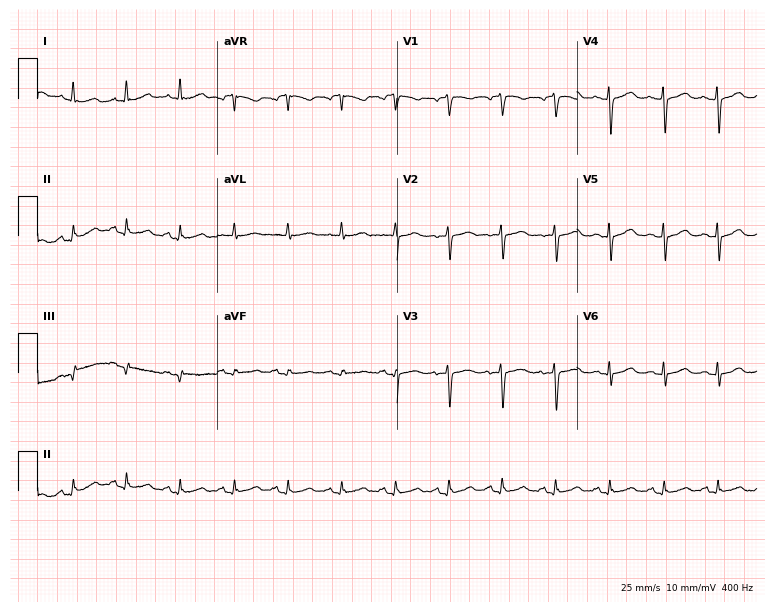
12-lead ECG from a female patient, 57 years old. Shows sinus tachycardia (a sinus rate of 100 beats per minute or more).